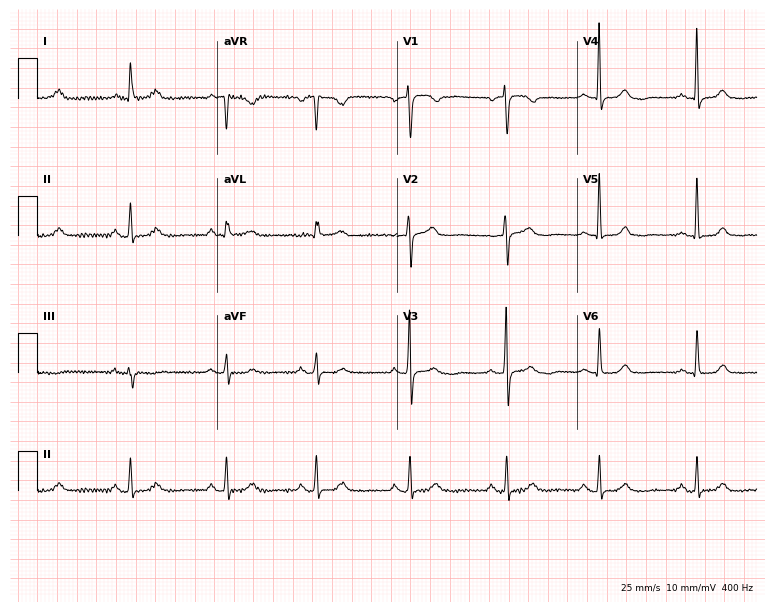
Electrocardiogram (7.3-second recording at 400 Hz), a 63-year-old woman. Overall reading on record: normal ECG.